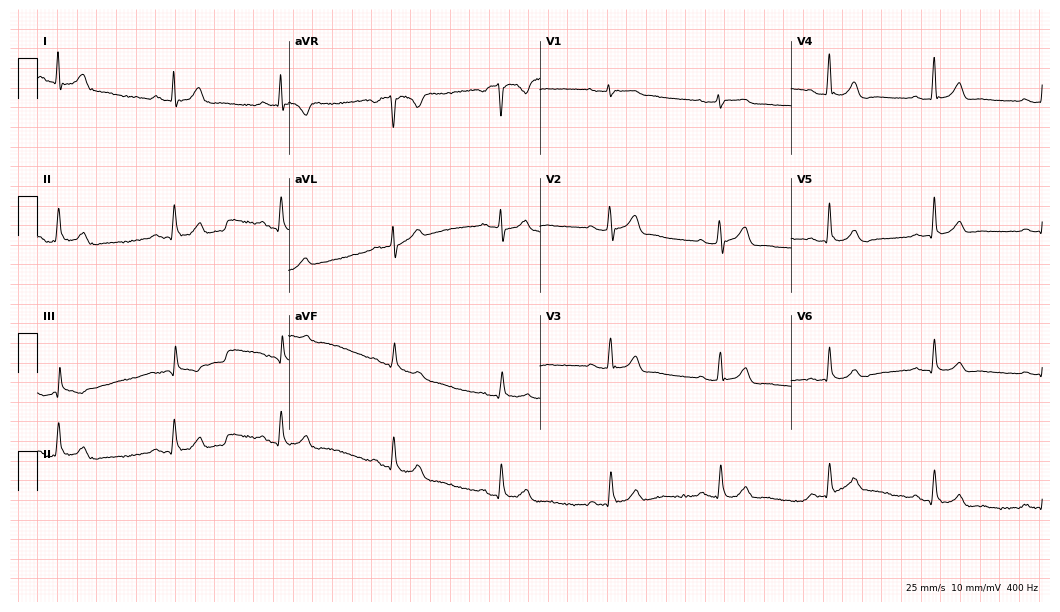
12-lead ECG from a male, 47 years old. Labelled as a normal ECG.